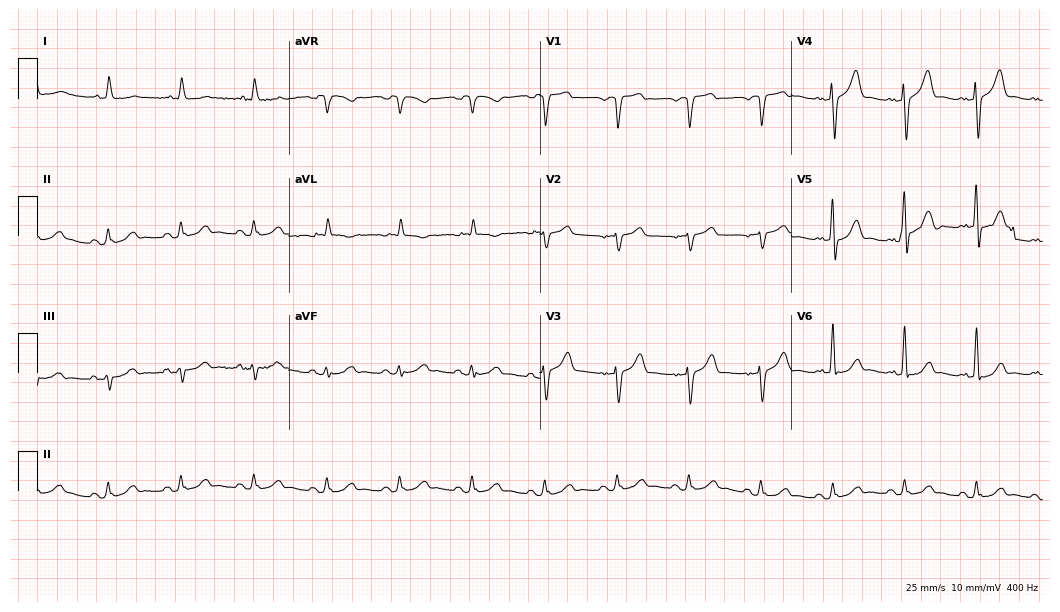
Electrocardiogram (10.2-second recording at 400 Hz), a 78-year-old male. Of the six screened findings (first-degree AV block, right bundle branch block, left bundle branch block, sinus bradycardia, atrial fibrillation, sinus tachycardia), none is recorded.